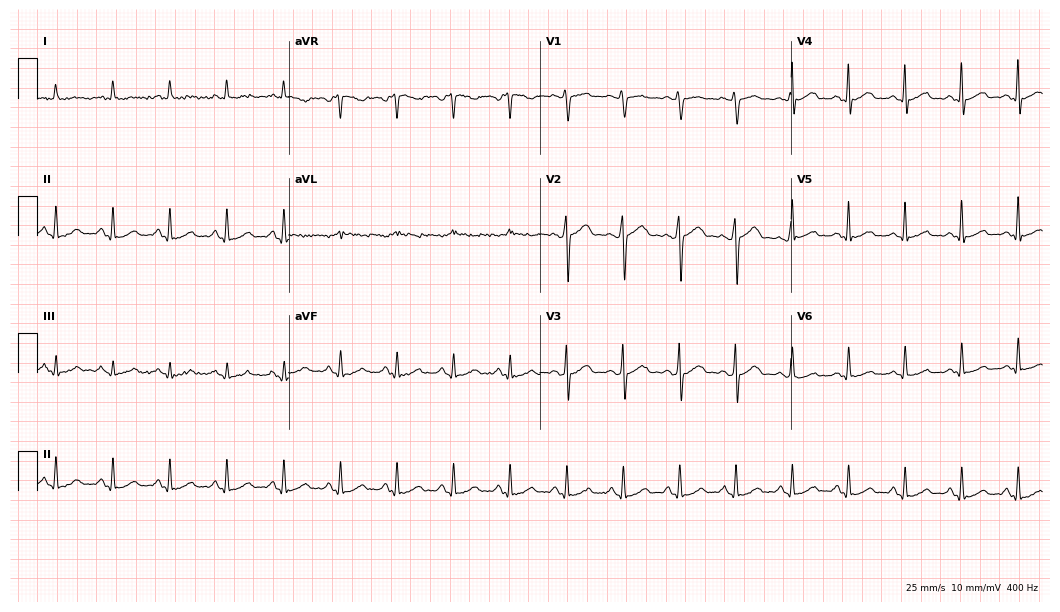
ECG (10.2-second recording at 400 Hz) — a male patient, 47 years old. Screened for six findings — first-degree AV block, right bundle branch block, left bundle branch block, sinus bradycardia, atrial fibrillation, sinus tachycardia — none is recorded.